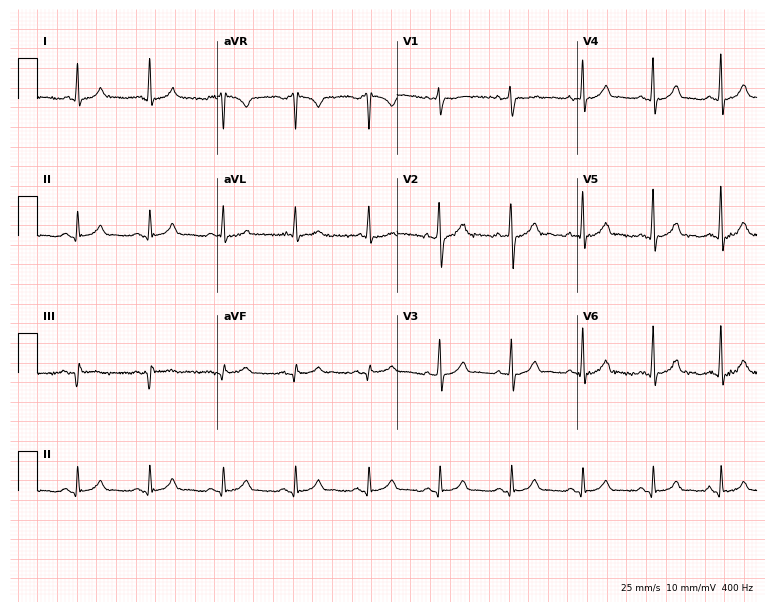
Standard 12-lead ECG recorded from a 30-year-old male patient. Read as a normal ECG.